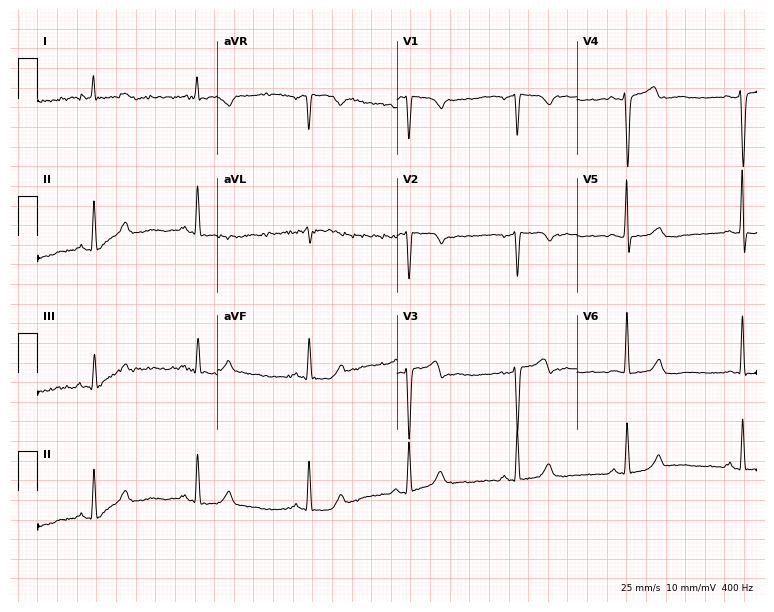
ECG — a 36-year-old woman. Screened for six findings — first-degree AV block, right bundle branch block (RBBB), left bundle branch block (LBBB), sinus bradycardia, atrial fibrillation (AF), sinus tachycardia — none is recorded. Findings outside these six are not listed.